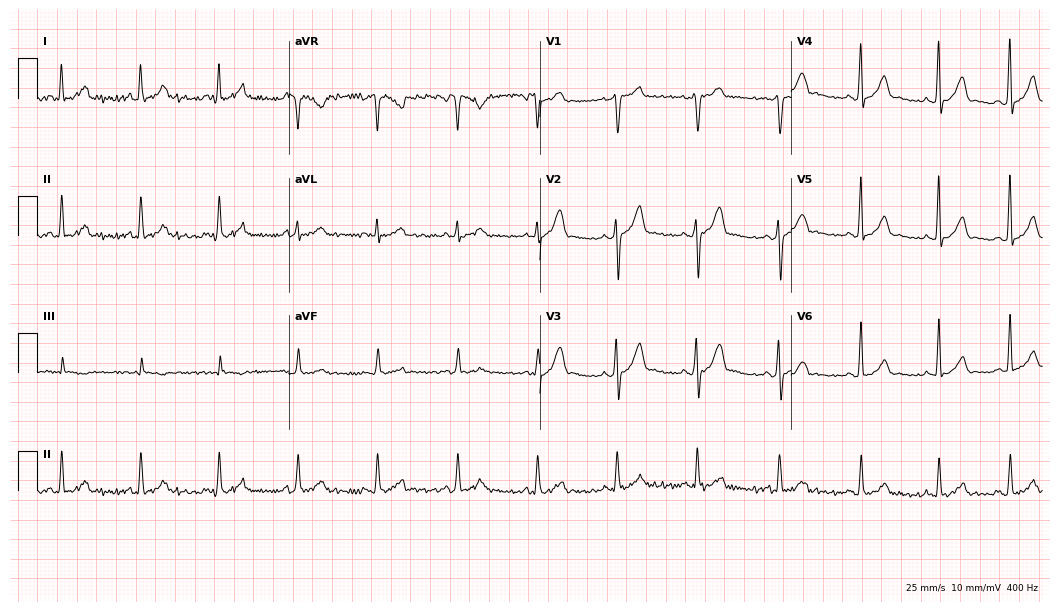
Electrocardiogram (10.2-second recording at 400 Hz), a 28-year-old male. Overall reading on record: normal ECG.